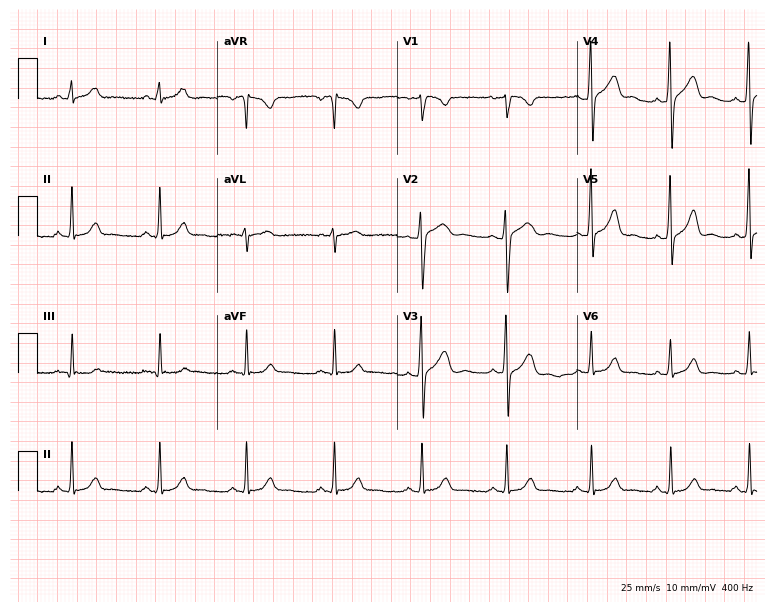
12-lead ECG from a 27-year-old woman (7.3-second recording at 400 Hz). Recorded interpretation: within normal limits.